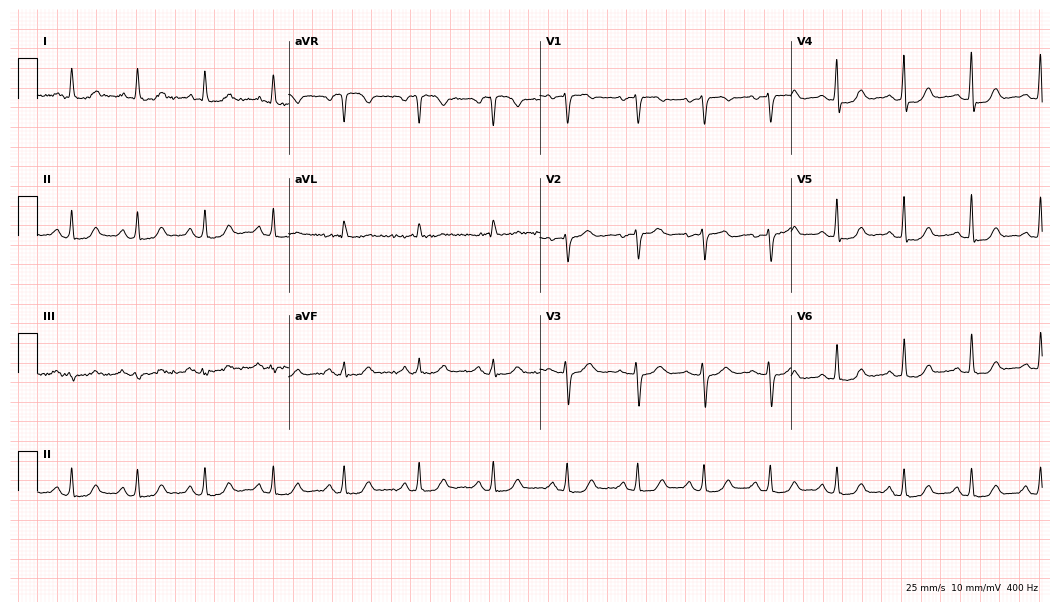
12-lead ECG (10.2-second recording at 400 Hz) from a female patient, 50 years old. Screened for six findings — first-degree AV block, right bundle branch block (RBBB), left bundle branch block (LBBB), sinus bradycardia, atrial fibrillation (AF), sinus tachycardia — none is recorded.